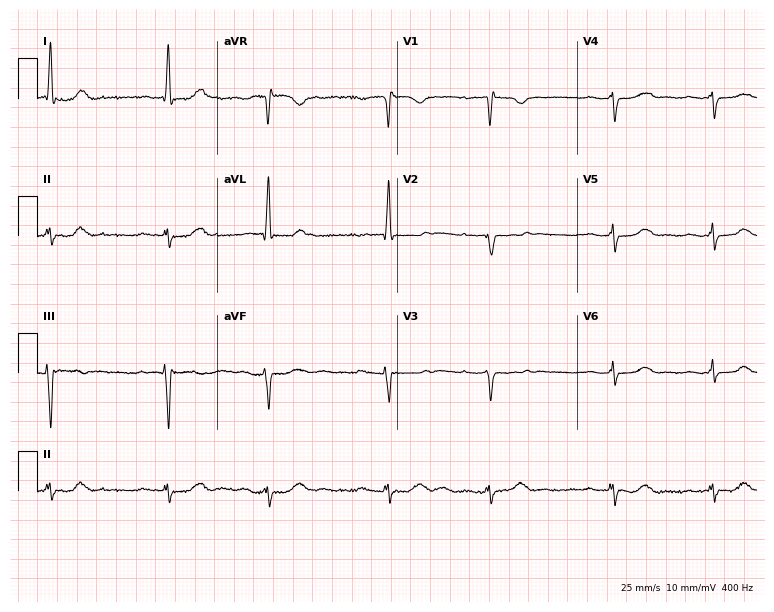
12-lead ECG from a 79-year-old woman. Shows atrial fibrillation (AF).